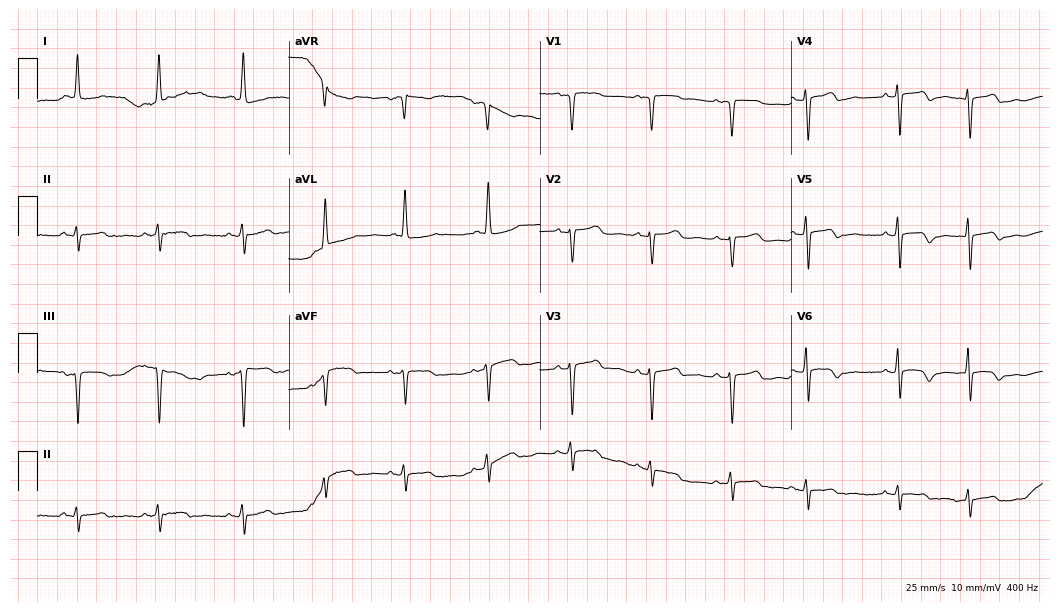
Resting 12-lead electrocardiogram. Patient: a 69-year-old female. None of these six findings is recorded: first-degree AV block, right bundle branch block, left bundle branch block, sinus bradycardia, atrial fibrillation, sinus tachycardia. Other findings, if any, are not listed.